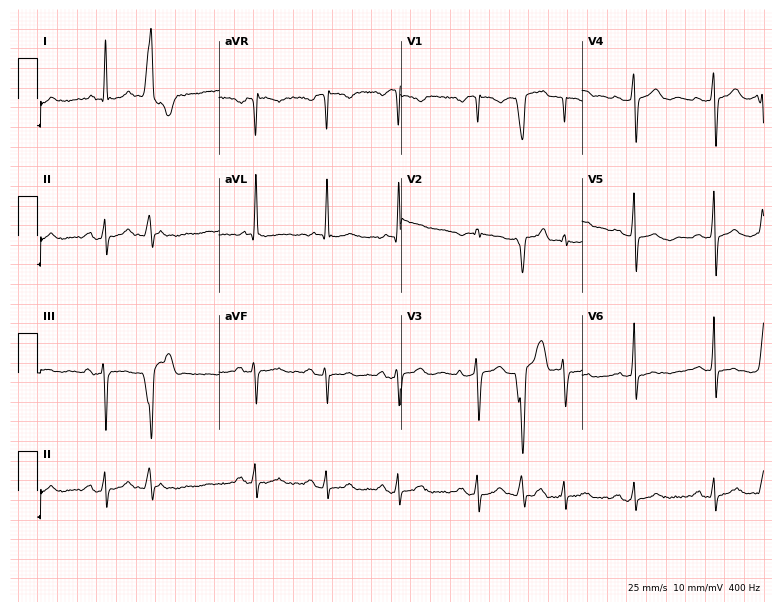
Standard 12-lead ECG recorded from an 84-year-old woman. None of these six findings is recorded: first-degree AV block, right bundle branch block (RBBB), left bundle branch block (LBBB), sinus bradycardia, atrial fibrillation (AF), sinus tachycardia. Other findings, if any, are not listed.